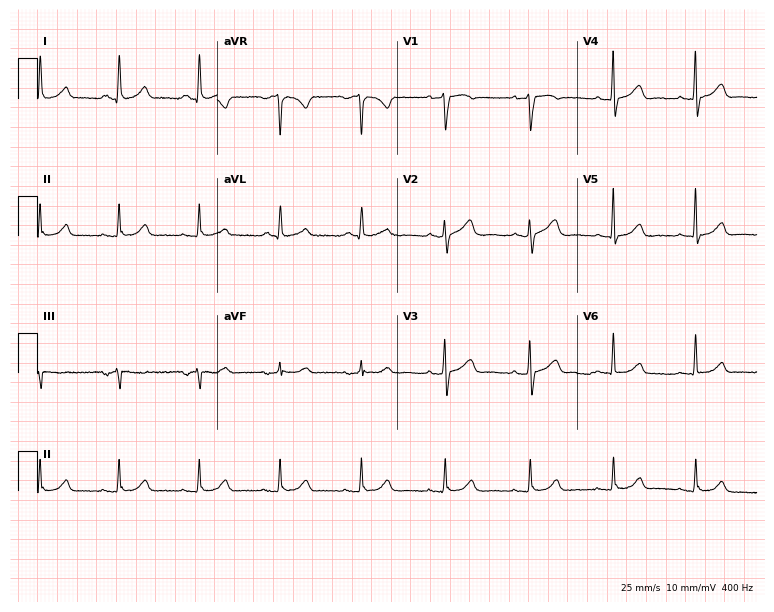
ECG — a female patient, 49 years old. Labelled as a normal ECG.